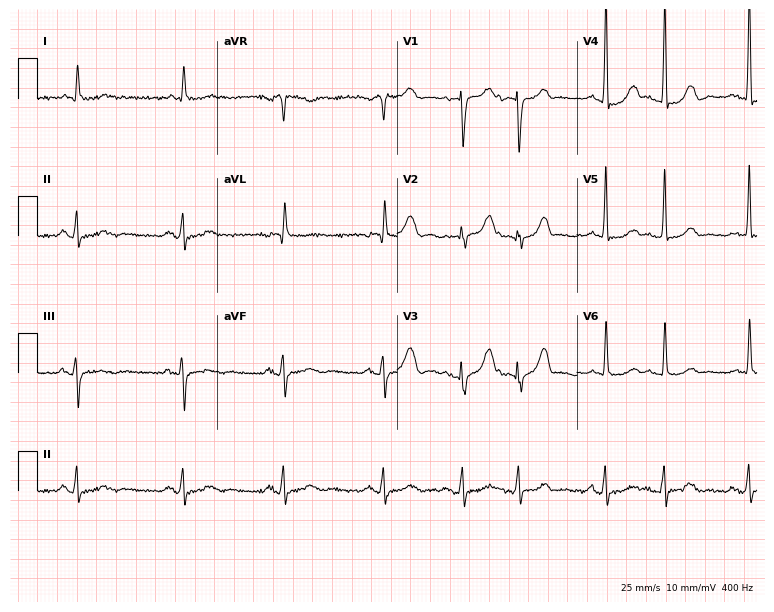
Resting 12-lead electrocardiogram. Patient: an 85-year-old male. None of these six findings is recorded: first-degree AV block, right bundle branch block, left bundle branch block, sinus bradycardia, atrial fibrillation, sinus tachycardia. Other findings, if any, are not listed.